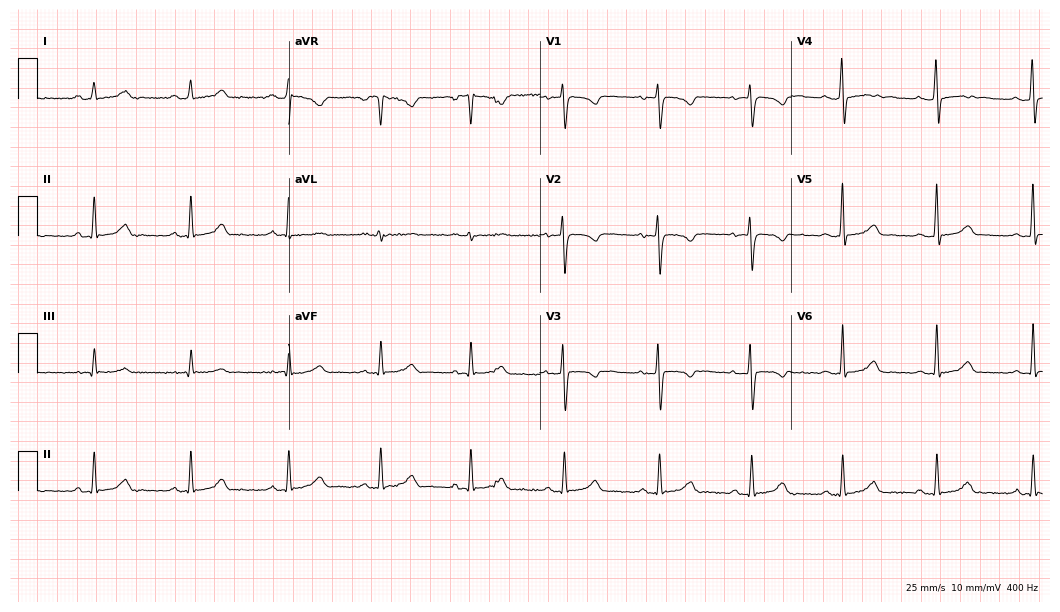
Electrocardiogram, a 33-year-old female patient. Overall reading on record: normal ECG.